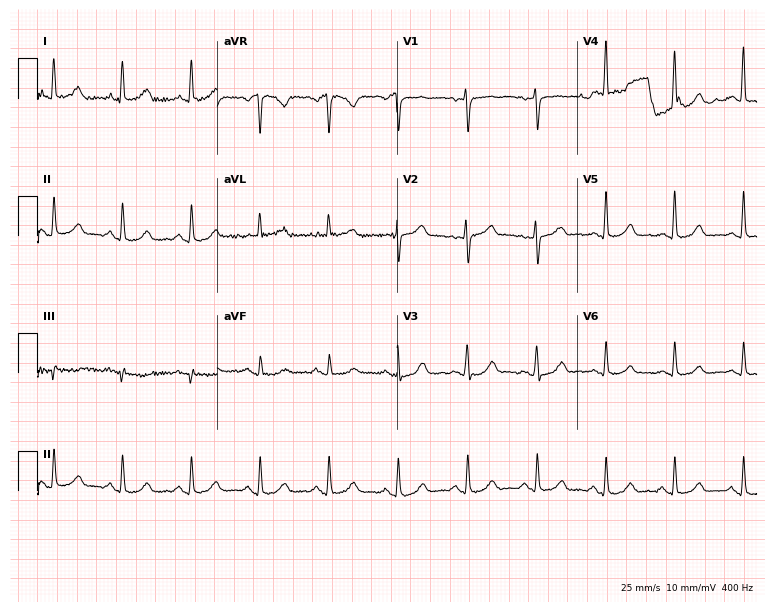
12-lead ECG from a woman, 53 years old (7.3-second recording at 400 Hz). Recorded interpretation: within normal limits.